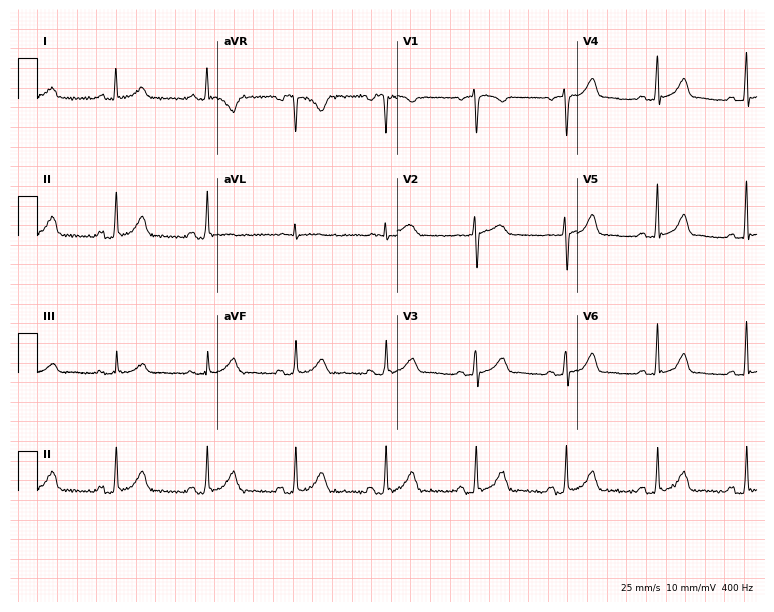
Electrocardiogram (7.3-second recording at 400 Hz), a female, 43 years old. Of the six screened findings (first-degree AV block, right bundle branch block, left bundle branch block, sinus bradycardia, atrial fibrillation, sinus tachycardia), none is recorded. Findings outside these six are not listed.